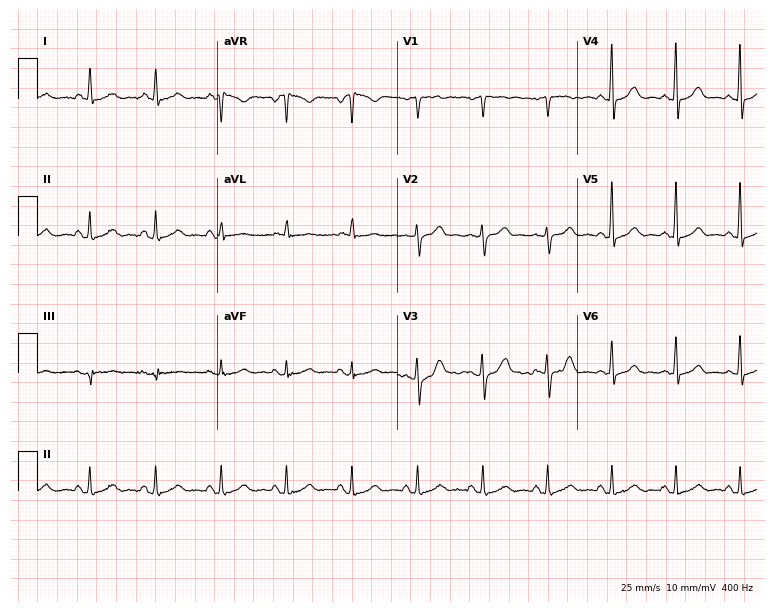
Electrocardiogram, a 56-year-old male. Overall reading on record: normal ECG.